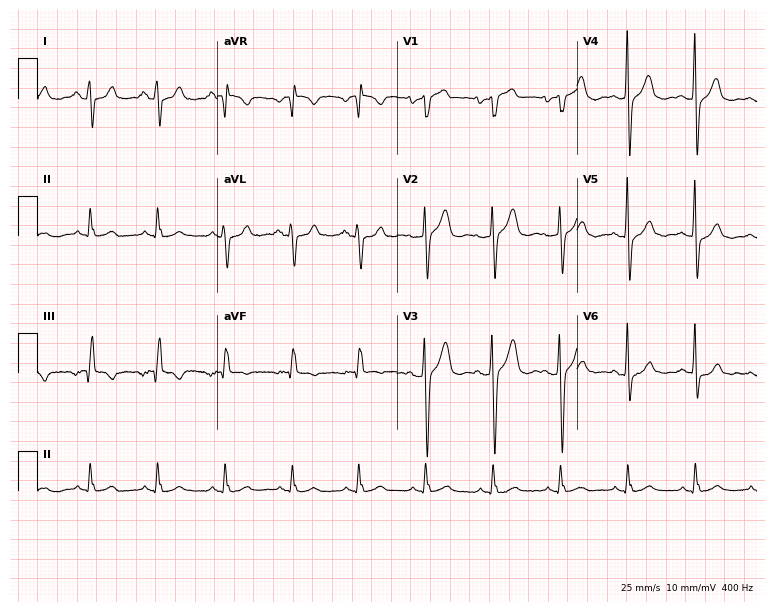
Standard 12-lead ECG recorded from a 74-year-old male patient (7.3-second recording at 400 Hz). Read as a normal ECG.